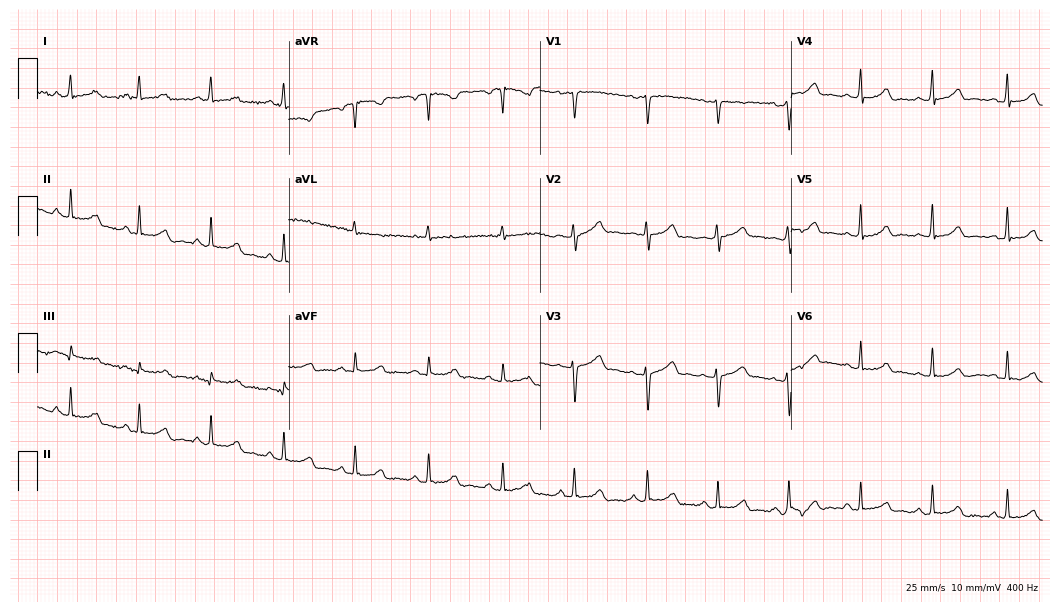
12-lead ECG from a 21-year-old woman. No first-degree AV block, right bundle branch block, left bundle branch block, sinus bradycardia, atrial fibrillation or sinus tachycardia recorded for this tracing. Other findings, if any, are not listed.